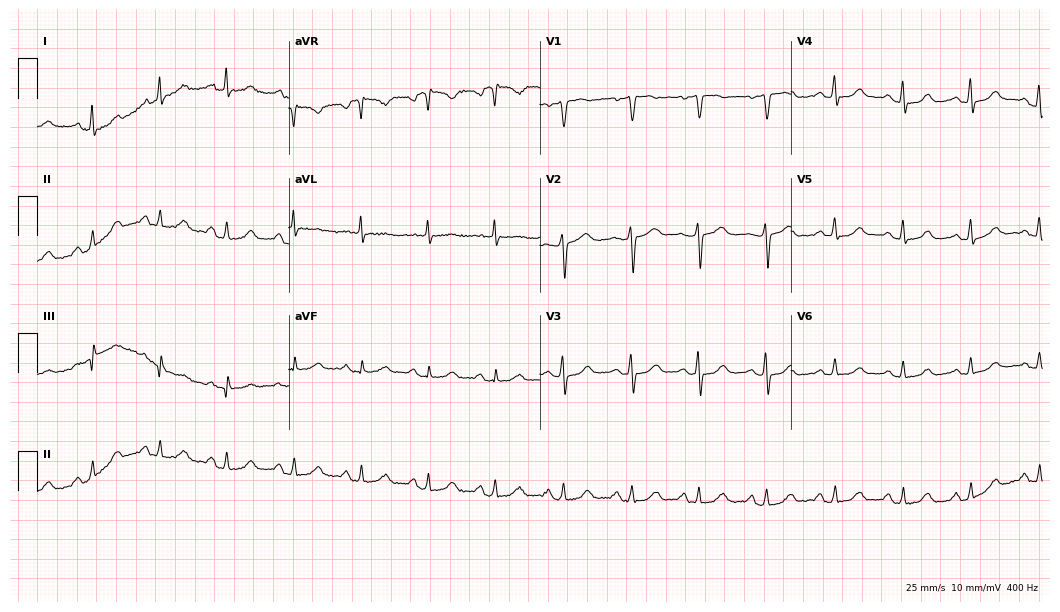
Electrocardiogram (10.2-second recording at 400 Hz), a 52-year-old female patient. Overall reading on record: normal ECG.